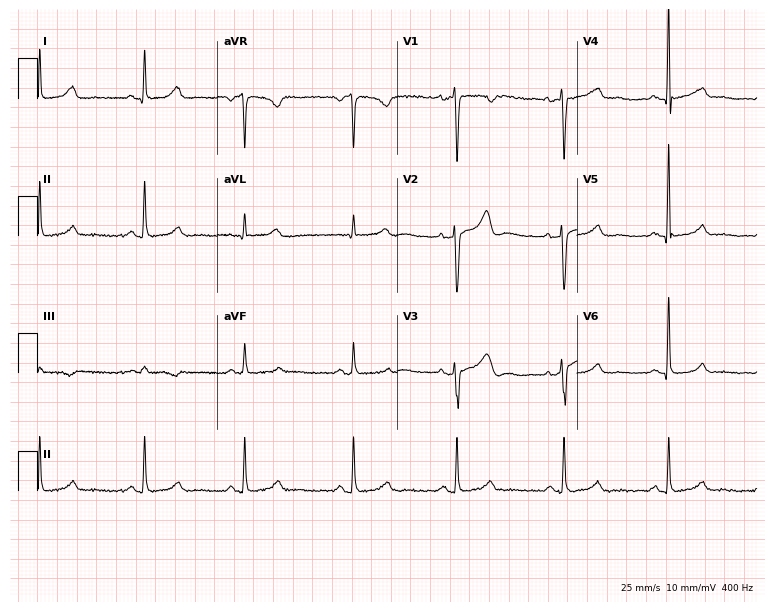
12-lead ECG from a woman, 39 years old. No first-degree AV block, right bundle branch block (RBBB), left bundle branch block (LBBB), sinus bradycardia, atrial fibrillation (AF) or sinus tachycardia recorded for this tracing. Only these six findings were labelled.